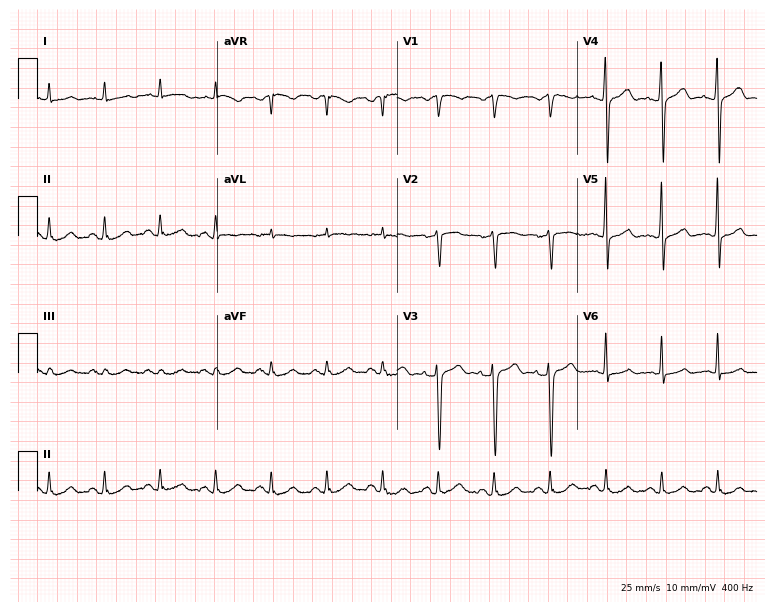
Resting 12-lead electrocardiogram. Patient: a male, 54 years old. The tracing shows sinus tachycardia (a sinus rate of 100 beats per minute or more).